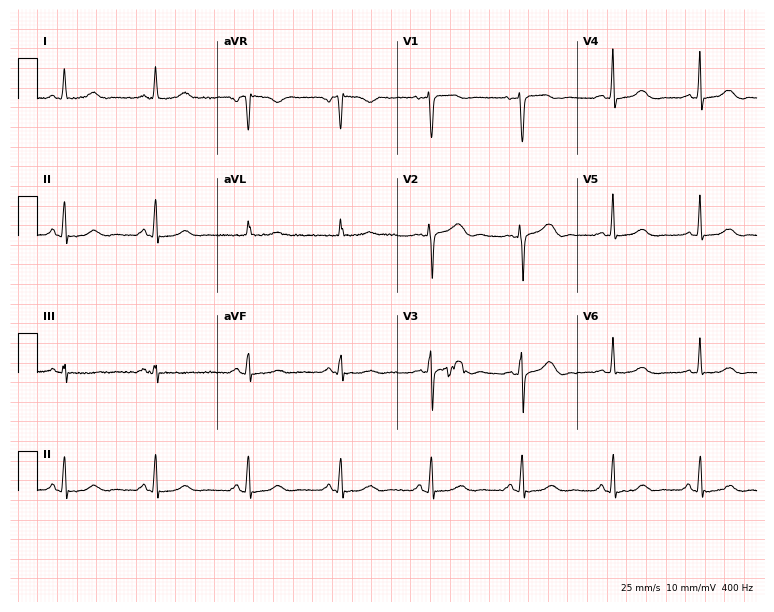
ECG (7.3-second recording at 400 Hz) — a 67-year-old female patient. Screened for six findings — first-degree AV block, right bundle branch block, left bundle branch block, sinus bradycardia, atrial fibrillation, sinus tachycardia — none is recorded.